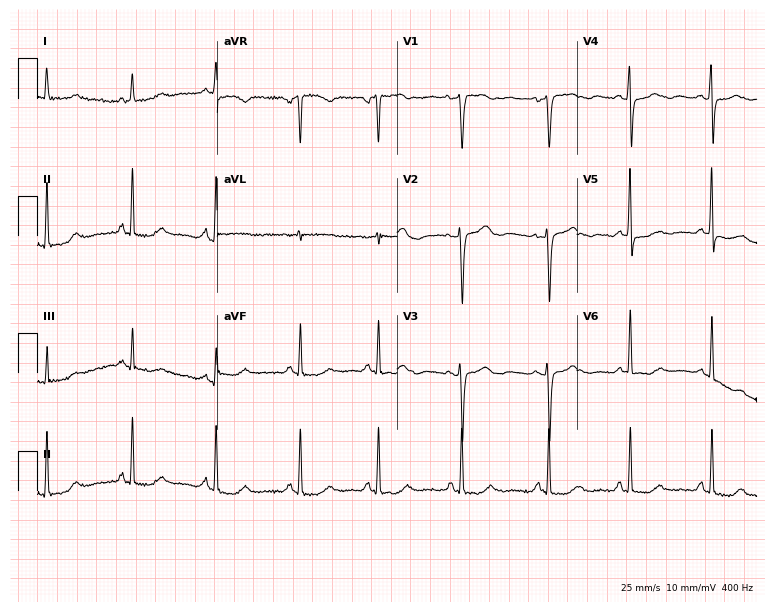
ECG (7.3-second recording at 400 Hz) — a 58-year-old woman. Screened for six findings — first-degree AV block, right bundle branch block, left bundle branch block, sinus bradycardia, atrial fibrillation, sinus tachycardia — none is recorded. Other findings, if any, are not listed.